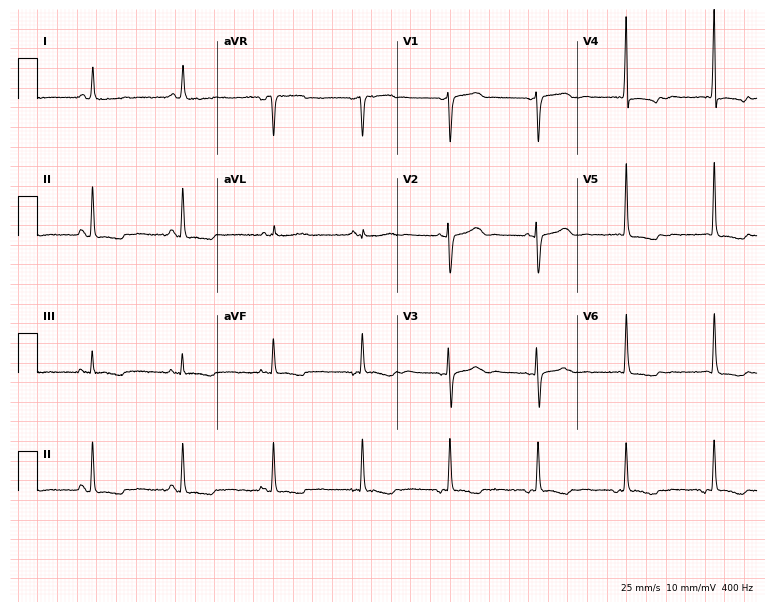
Standard 12-lead ECG recorded from a female patient, 51 years old. None of these six findings is recorded: first-degree AV block, right bundle branch block (RBBB), left bundle branch block (LBBB), sinus bradycardia, atrial fibrillation (AF), sinus tachycardia. Other findings, if any, are not listed.